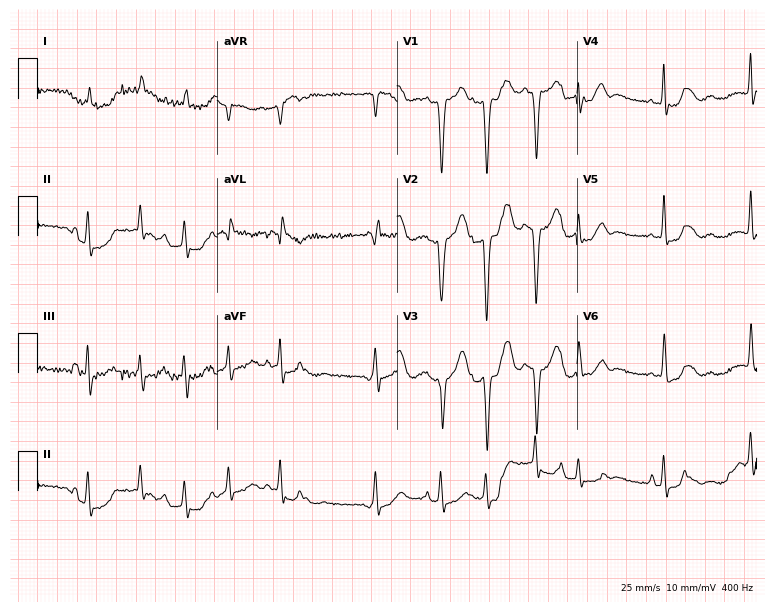
ECG (7.3-second recording at 400 Hz) — an 85-year-old female. Findings include atrial fibrillation (AF).